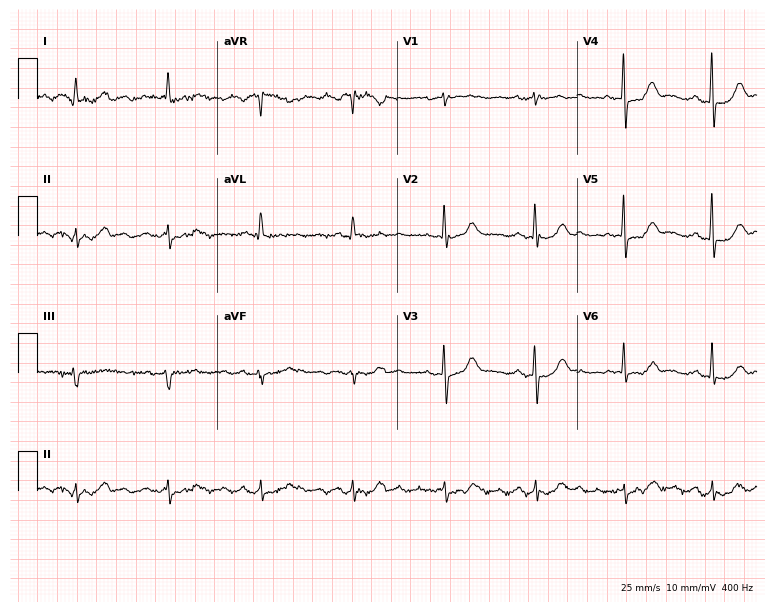
ECG (7.3-second recording at 400 Hz) — a male, 76 years old. Labelled as a normal ECG.